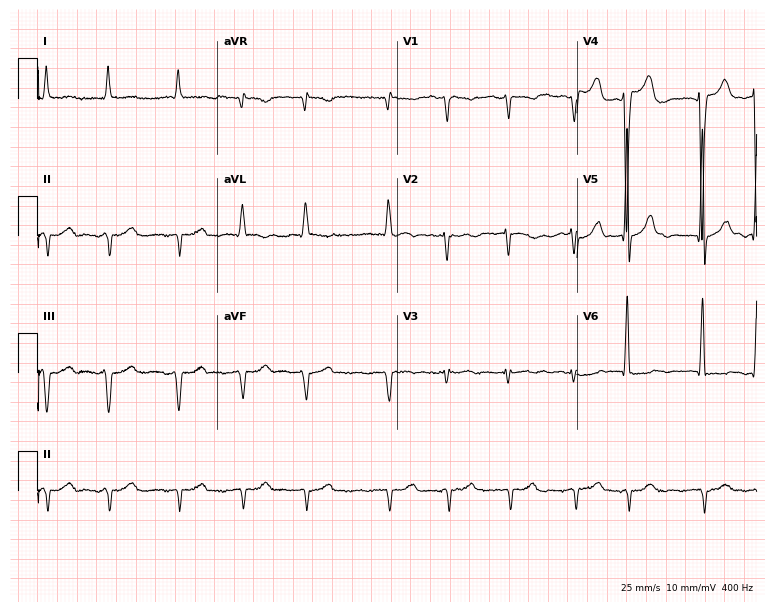
Standard 12-lead ECG recorded from a man, 73 years old (7.3-second recording at 400 Hz). The tracing shows atrial fibrillation.